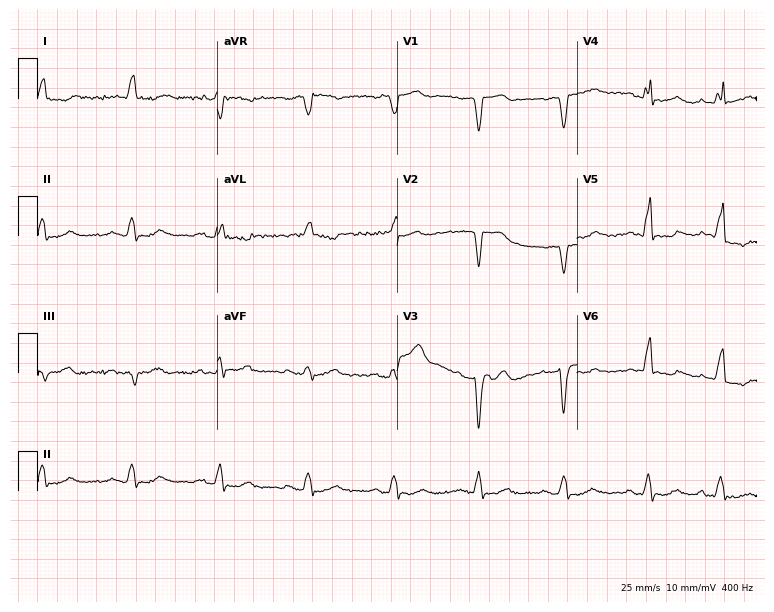
ECG (7.3-second recording at 400 Hz) — a 76-year-old man. Screened for six findings — first-degree AV block, right bundle branch block, left bundle branch block, sinus bradycardia, atrial fibrillation, sinus tachycardia — none is recorded.